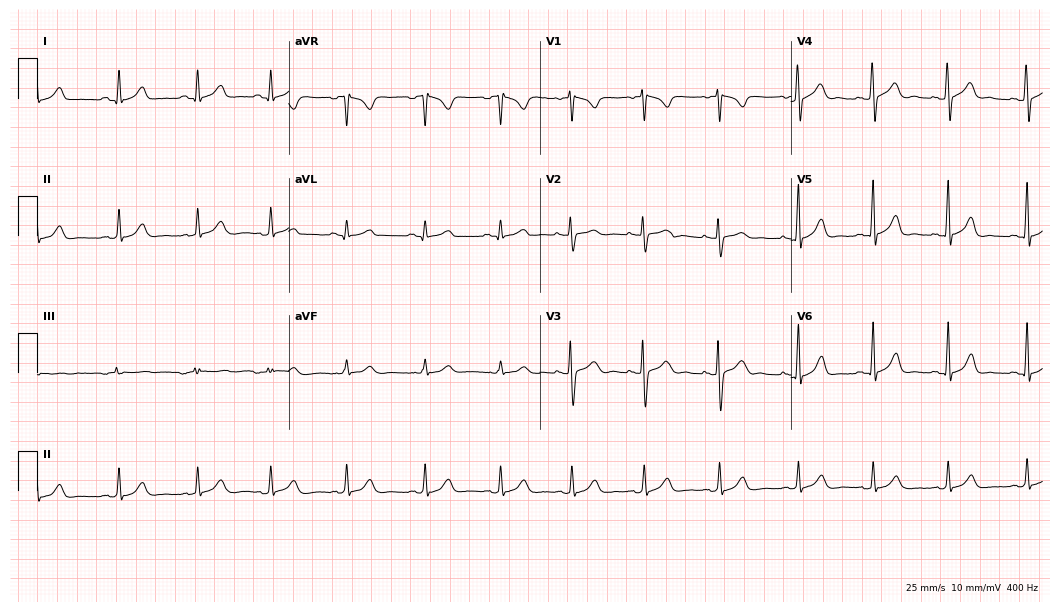
ECG — a female, 19 years old. Labelled as a normal ECG.